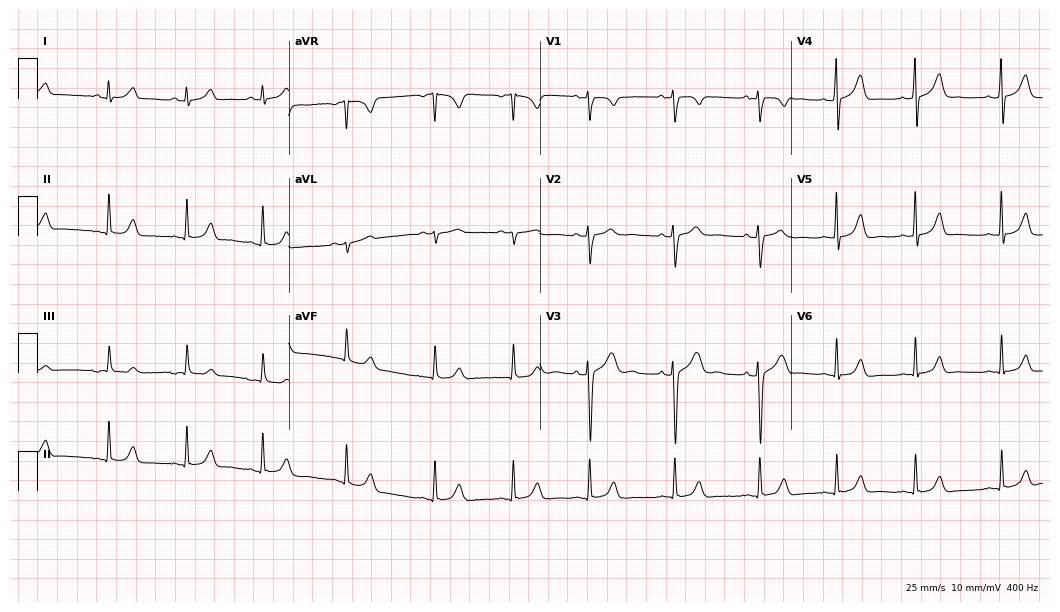
12-lead ECG (10.2-second recording at 400 Hz) from a man, 53 years old. Labelled as a normal ECG.